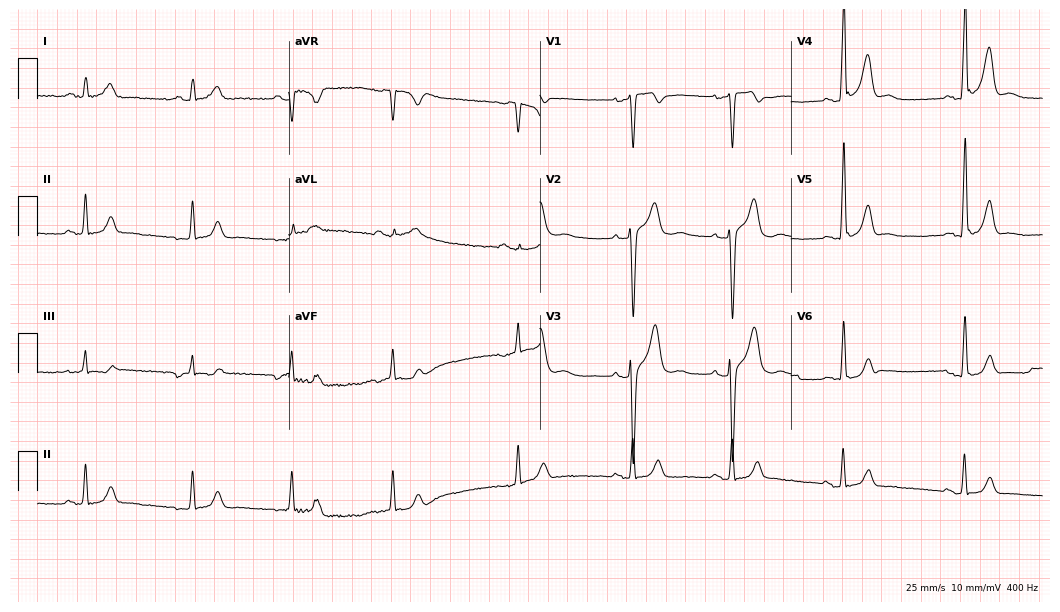
Electrocardiogram, a 34-year-old man. Of the six screened findings (first-degree AV block, right bundle branch block, left bundle branch block, sinus bradycardia, atrial fibrillation, sinus tachycardia), none is recorded.